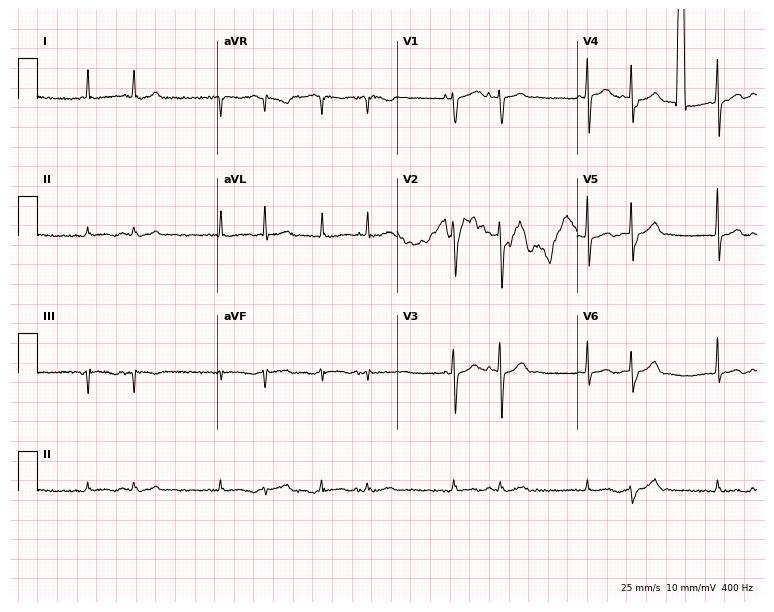
Resting 12-lead electrocardiogram. Patient: a 76-year-old female. None of these six findings is recorded: first-degree AV block, right bundle branch block, left bundle branch block, sinus bradycardia, atrial fibrillation, sinus tachycardia.